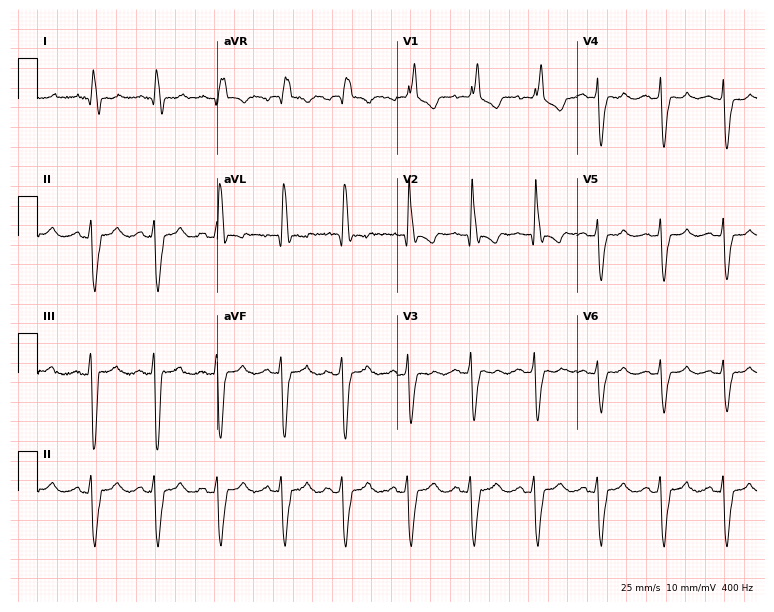
12-lead ECG (7.3-second recording at 400 Hz) from an 80-year-old woman. Findings include right bundle branch block.